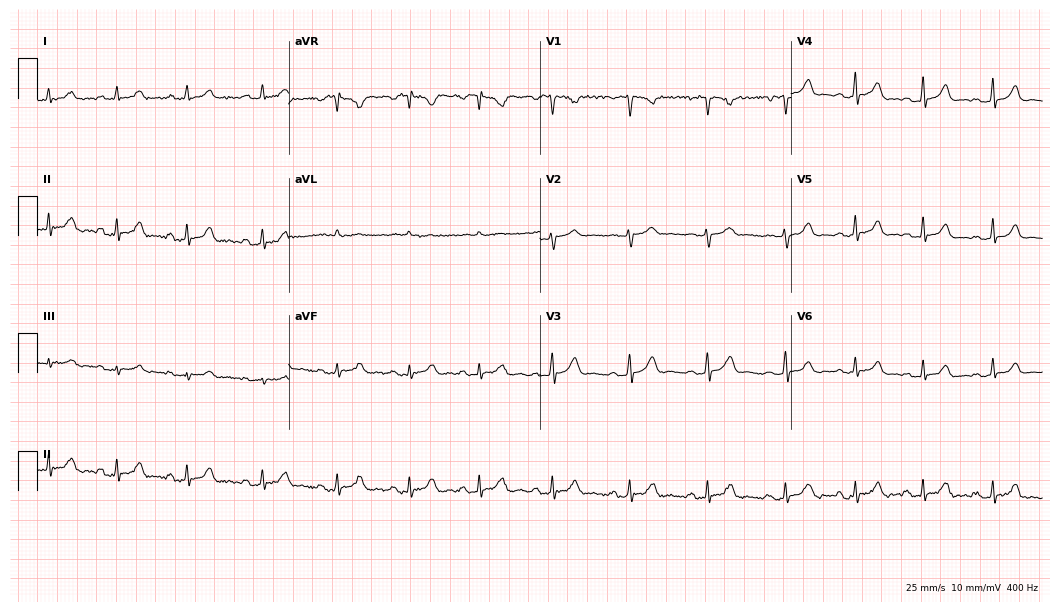
Electrocardiogram, a 21-year-old woman. Overall reading on record: normal ECG.